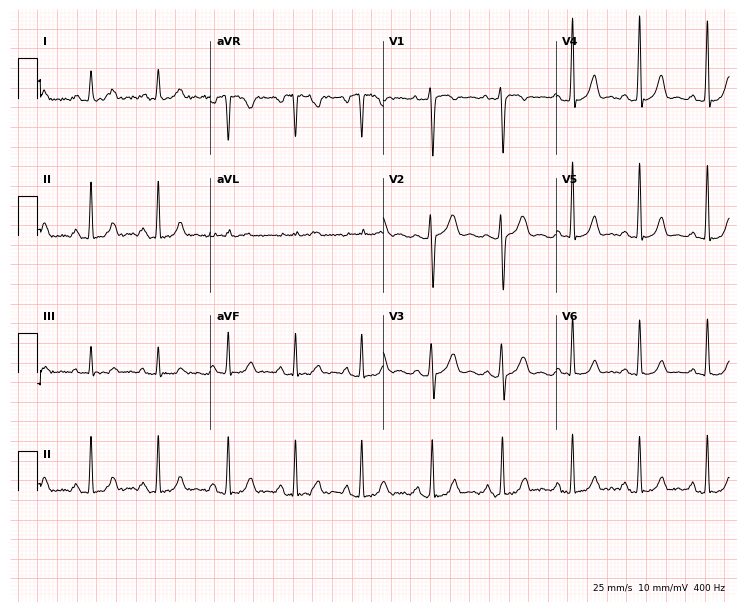
Resting 12-lead electrocardiogram (7.1-second recording at 400 Hz). Patient: a 24-year-old female. None of these six findings is recorded: first-degree AV block, right bundle branch block (RBBB), left bundle branch block (LBBB), sinus bradycardia, atrial fibrillation (AF), sinus tachycardia. Findings outside these six are not listed.